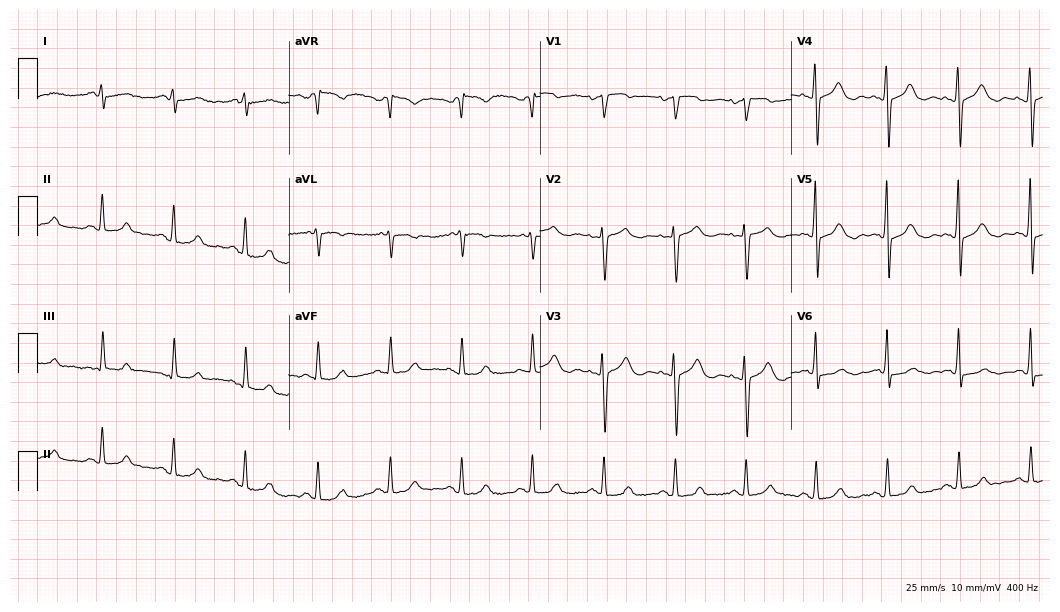
Resting 12-lead electrocardiogram. Patient: a 70-year-old female. Read as a normal ECG.